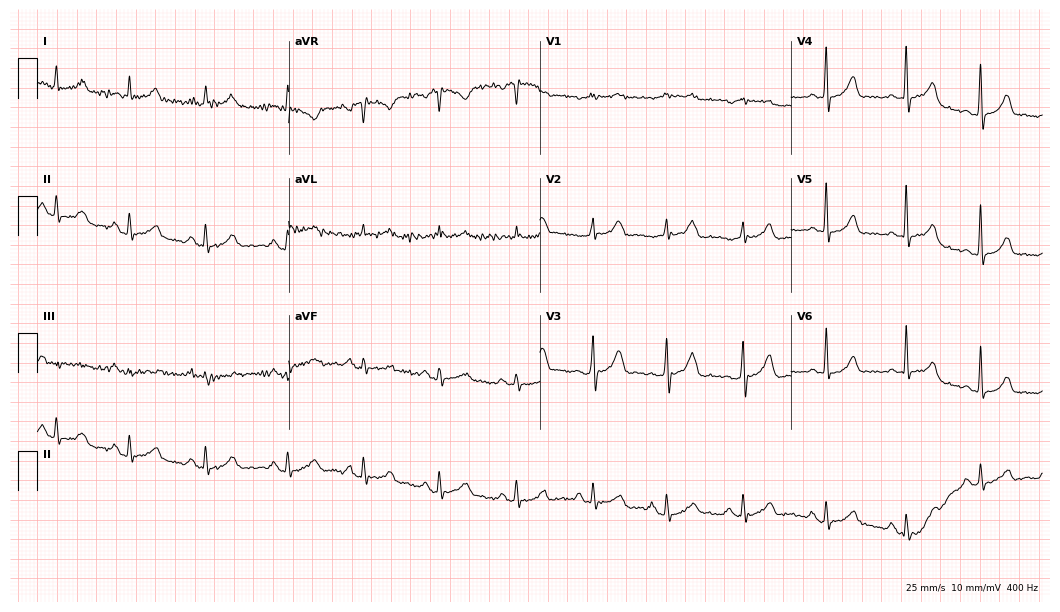
12-lead ECG from a female patient, 74 years old (10.2-second recording at 400 Hz). Recorded interpretation: within normal limits.